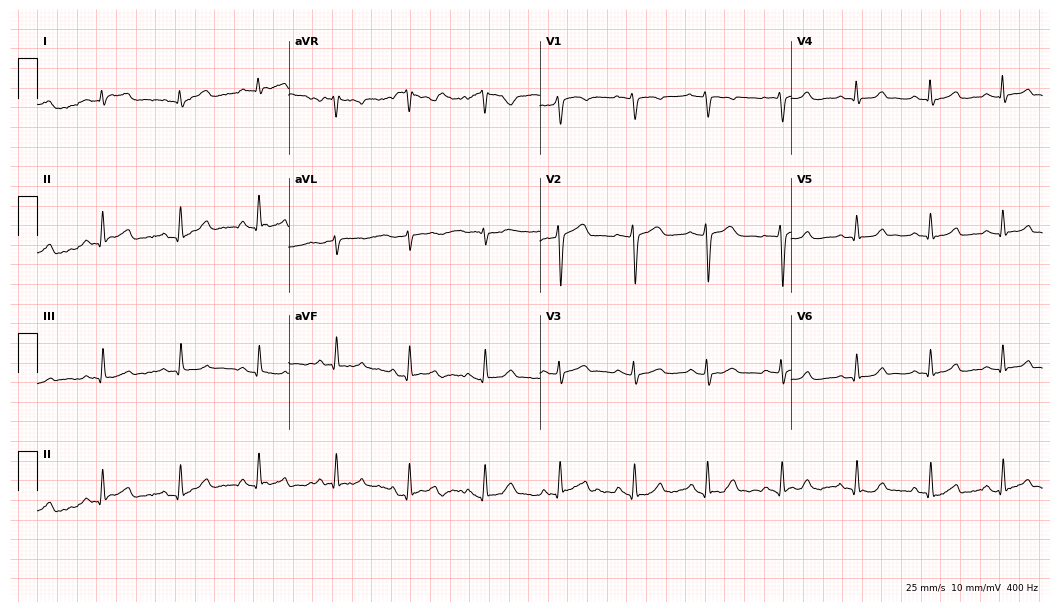
Standard 12-lead ECG recorded from a 39-year-old woman. Read as a normal ECG.